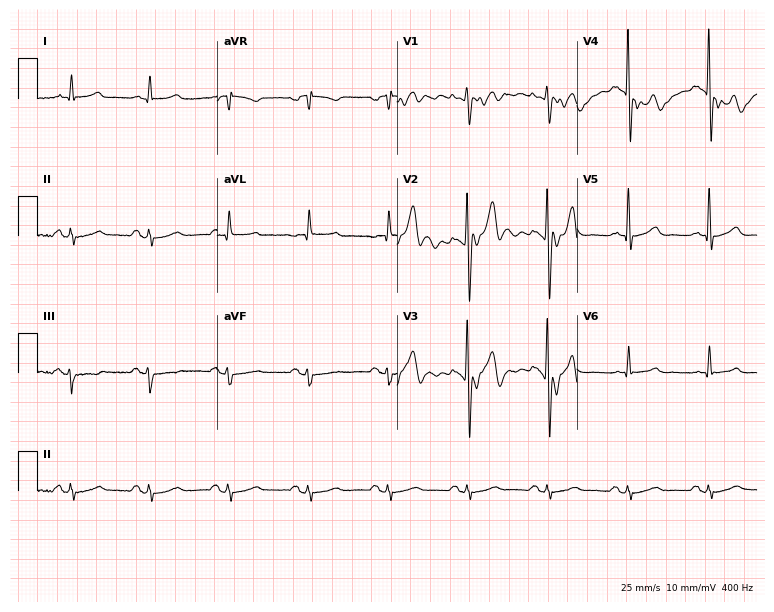
Resting 12-lead electrocardiogram (7.3-second recording at 400 Hz). Patient: a 71-year-old man. None of these six findings is recorded: first-degree AV block, right bundle branch block, left bundle branch block, sinus bradycardia, atrial fibrillation, sinus tachycardia. Other findings, if any, are not listed.